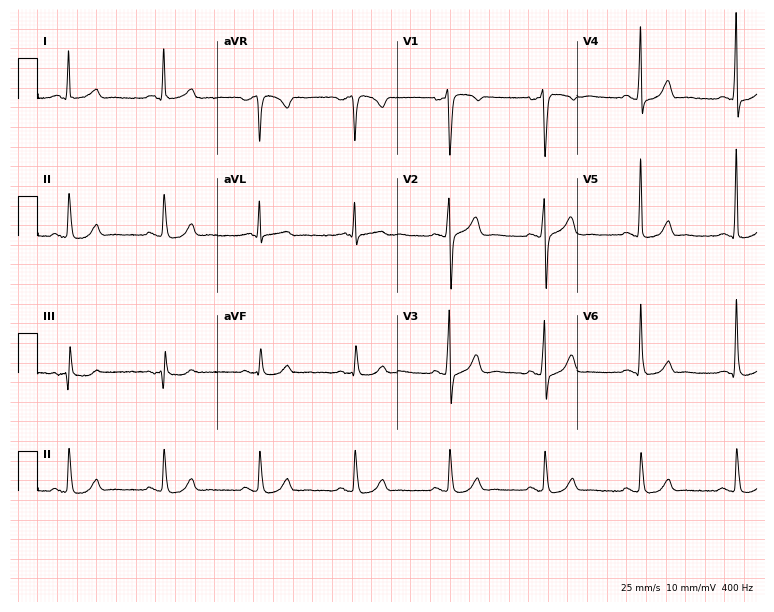
ECG (7.3-second recording at 400 Hz) — a 44-year-old man. Labelled as a normal ECG.